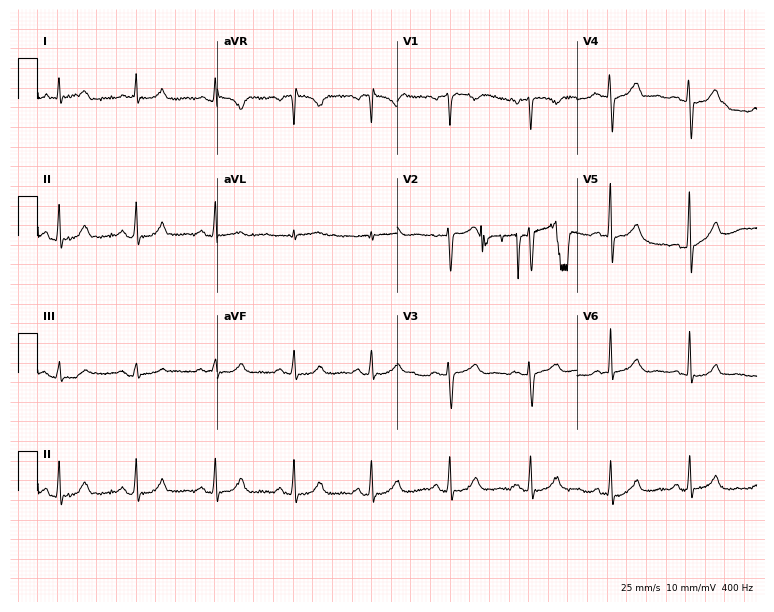
12-lead ECG from a female, 74 years old (7.3-second recording at 400 Hz). No first-degree AV block, right bundle branch block, left bundle branch block, sinus bradycardia, atrial fibrillation or sinus tachycardia recorded for this tracing. Findings outside these six are not listed.